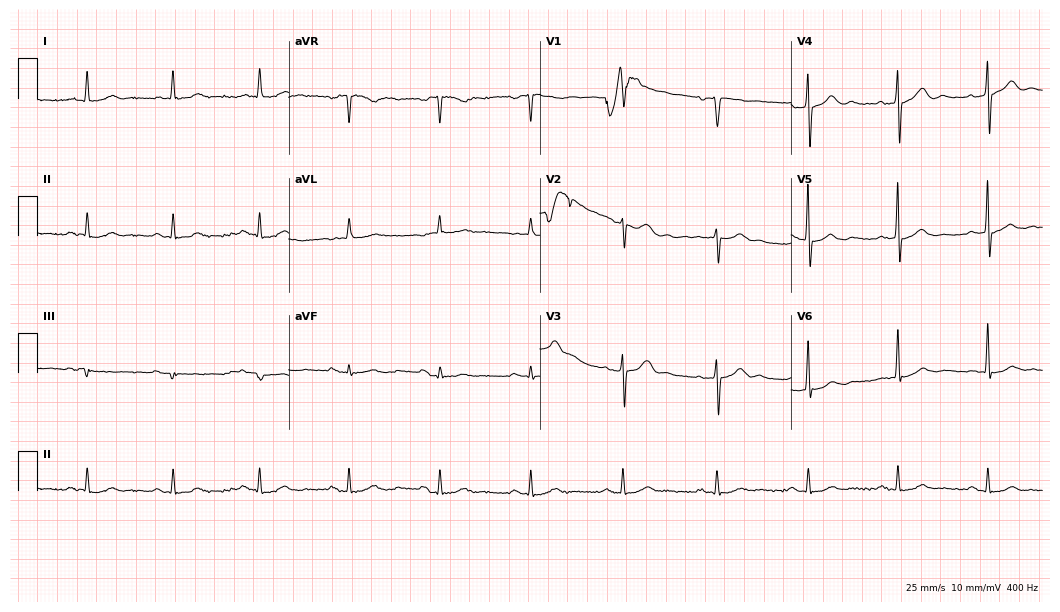
Electrocardiogram (10.2-second recording at 400 Hz), a 71-year-old man. Of the six screened findings (first-degree AV block, right bundle branch block, left bundle branch block, sinus bradycardia, atrial fibrillation, sinus tachycardia), none is recorded. Only these six findings were labelled.